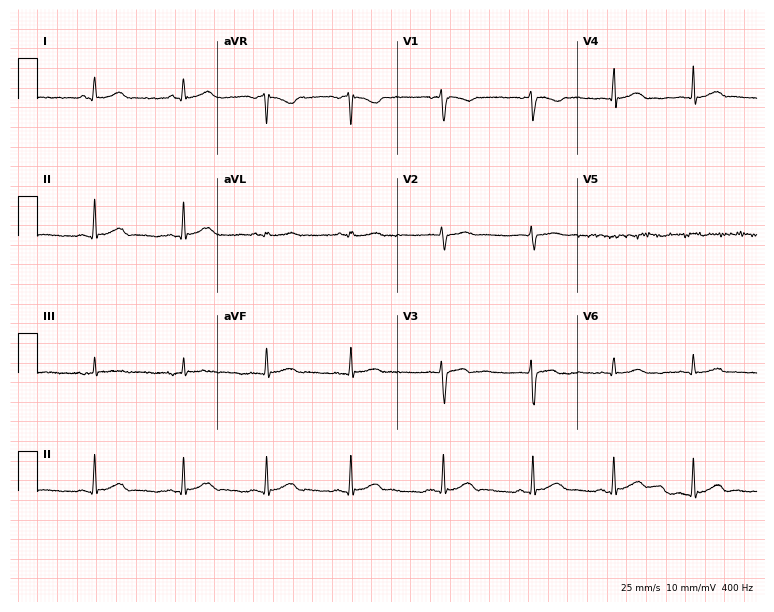
Resting 12-lead electrocardiogram (7.3-second recording at 400 Hz). Patient: a 19-year-old woman. Read as a normal ECG.